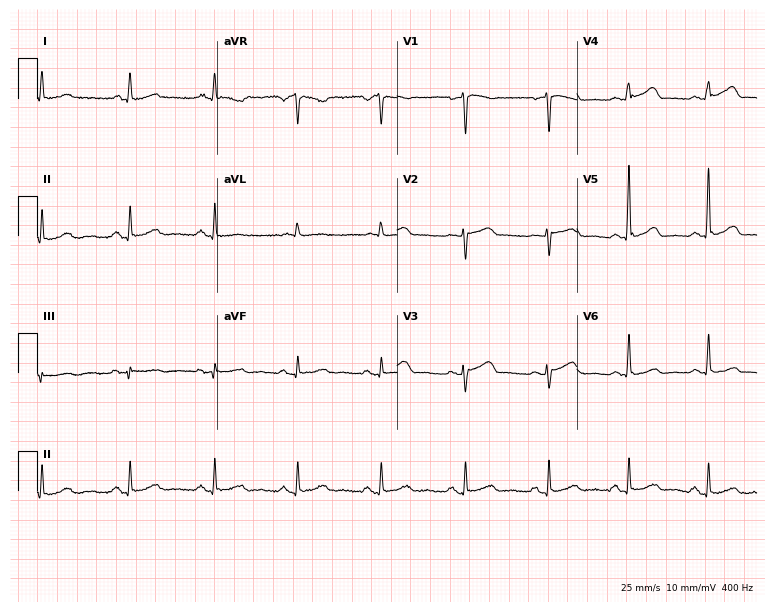
ECG — a female, 56 years old. Screened for six findings — first-degree AV block, right bundle branch block, left bundle branch block, sinus bradycardia, atrial fibrillation, sinus tachycardia — none is recorded. Findings outside these six are not listed.